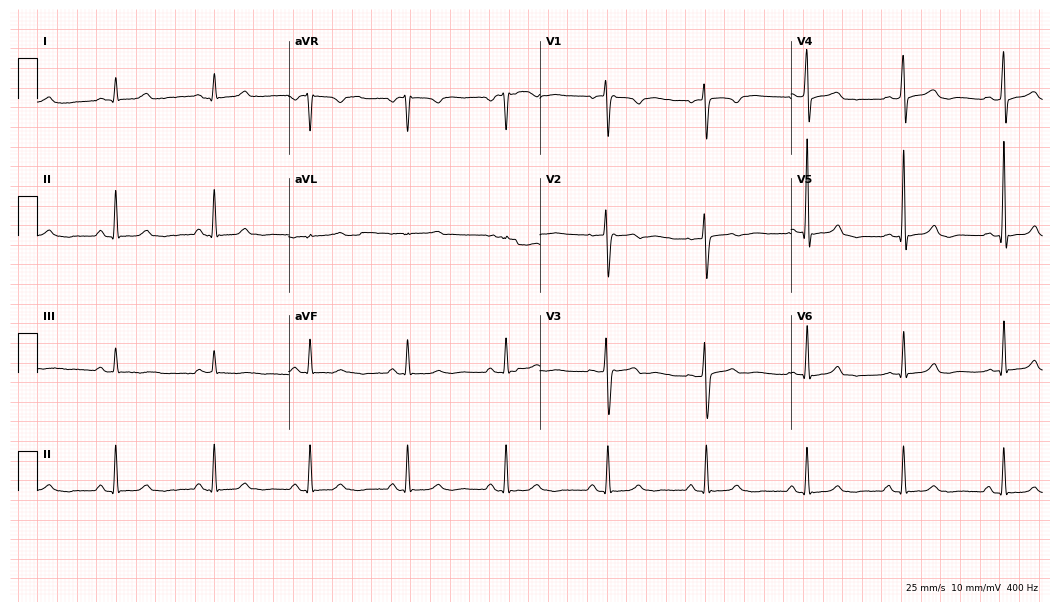
Electrocardiogram, a female, 45 years old. Overall reading on record: normal ECG.